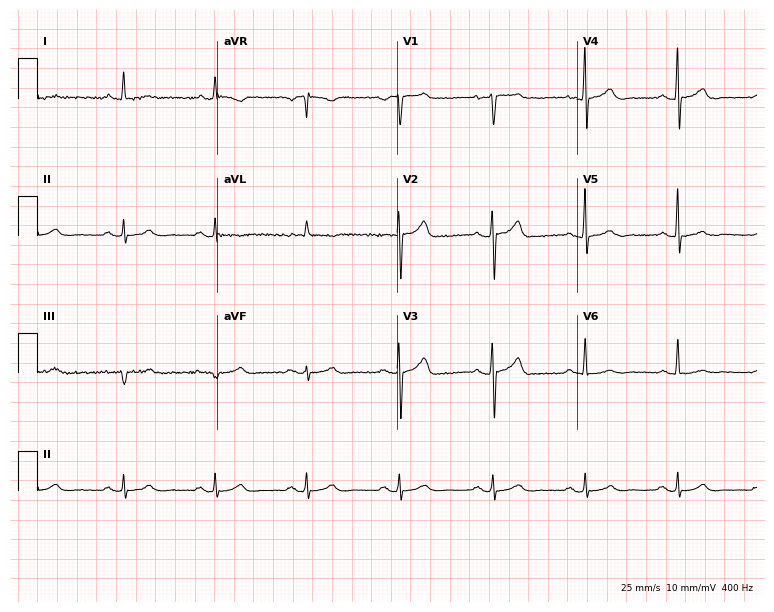
ECG — a 72-year-old male. Labelled as a normal ECG.